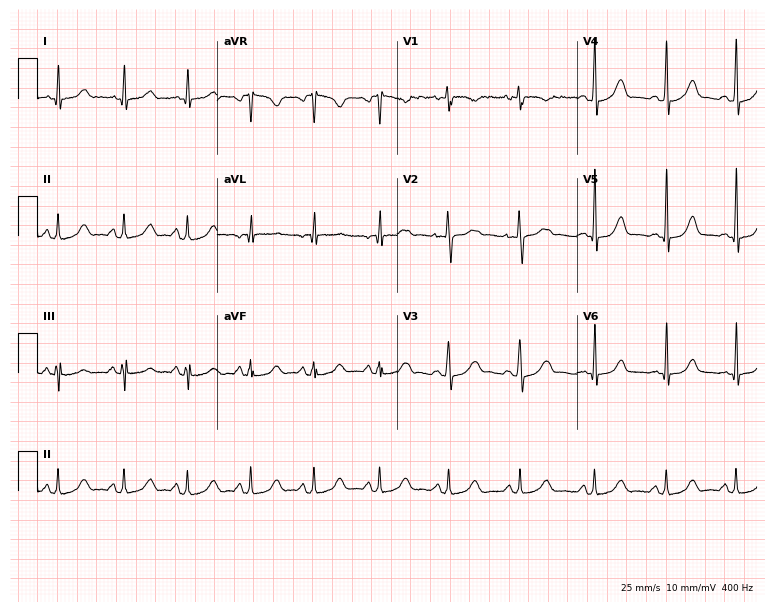
Resting 12-lead electrocardiogram. Patient: a 19-year-old female. Read as a normal ECG.